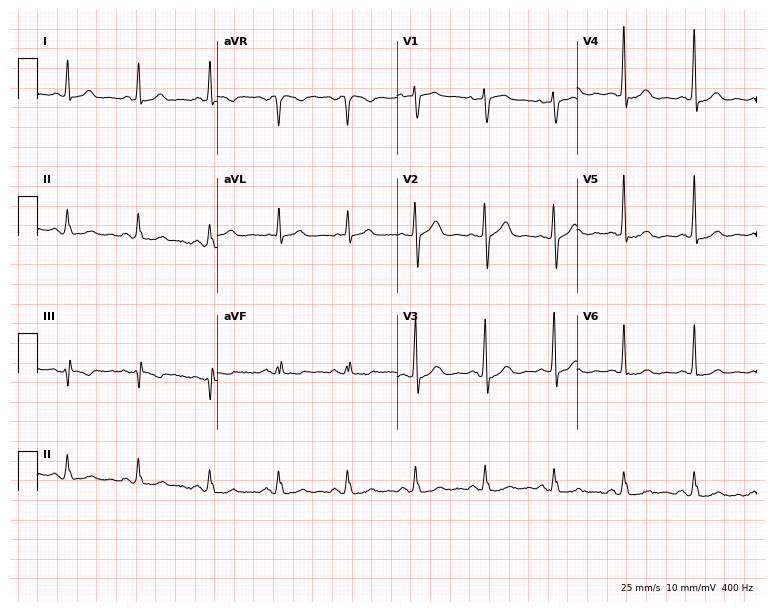
12-lead ECG from a male patient, 54 years old. Screened for six findings — first-degree AV block, right bundle branch block, left bundle branch block, sinus bradycardia, atrial fibrillation, sinus tachycardia — none is recorded.